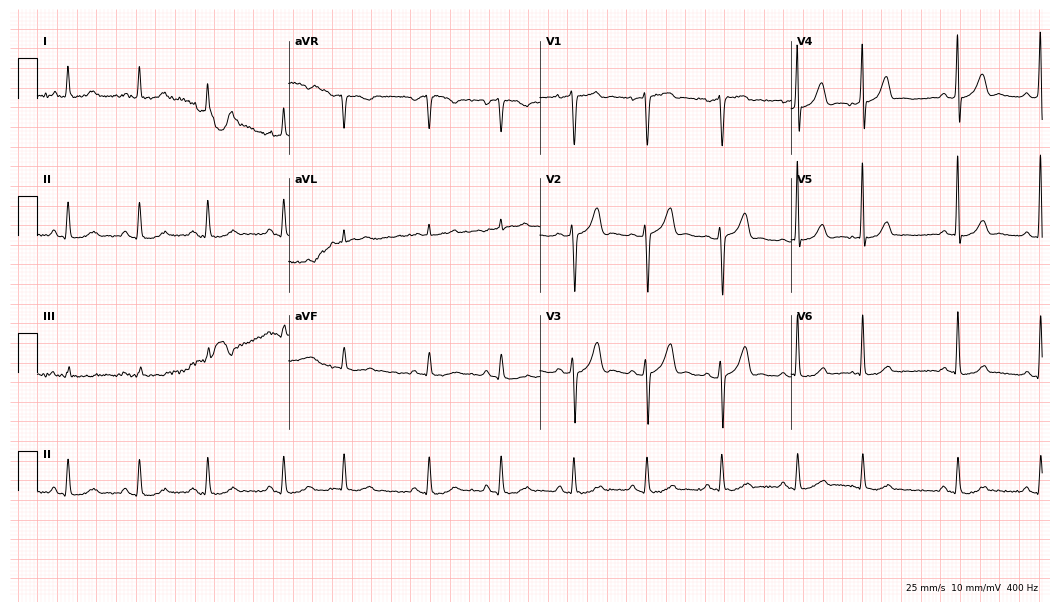
ECG (10.2-second recording at 400 Hz) — an 83-year-old male patient. Labelled as a normal ECG.